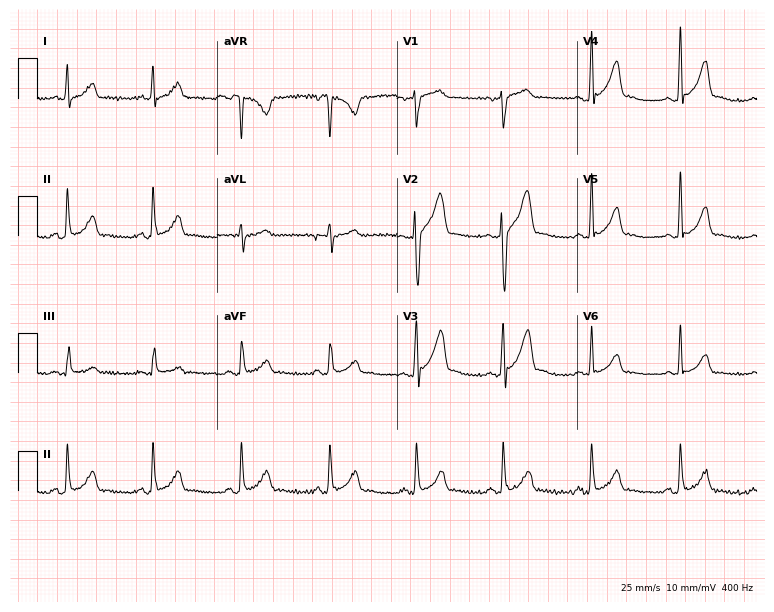
Electrocardiogram, a male, 20 years old. Overall reading on record: normal ECG.